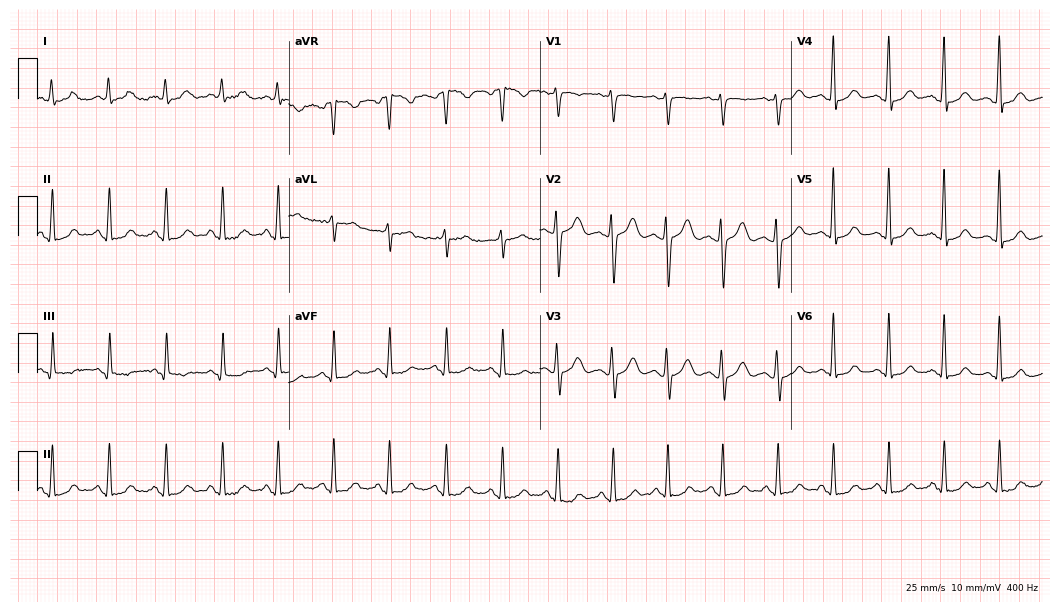
ECG (10.2-second recording at 400 Hz) — a female, 45 years old. Findings include sinus tachycardia (a sinus rate of 100 beats per minute or more).